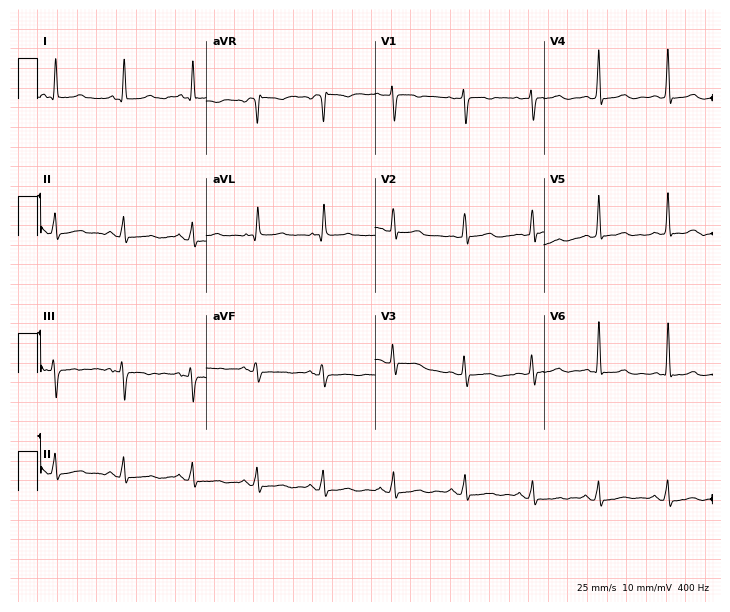
ECG (6.9-second recording at 400 Hz) — a 37-year-old female. Screened for six findings — first-degree AV block, right bundle branch block, left bundle branch block, sinus bradycardia, atrial fibrillation, sinus tachycardia — none is recorded.